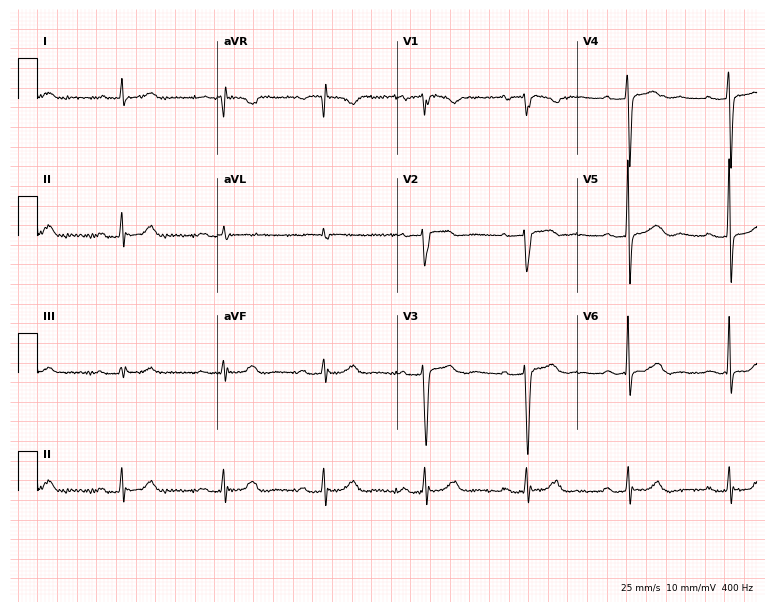
Standard 12-lead ECG recorded from a 74-year-old female patient (7.3-second recording at 400 Hz). The tracing shows first-degree AV block.